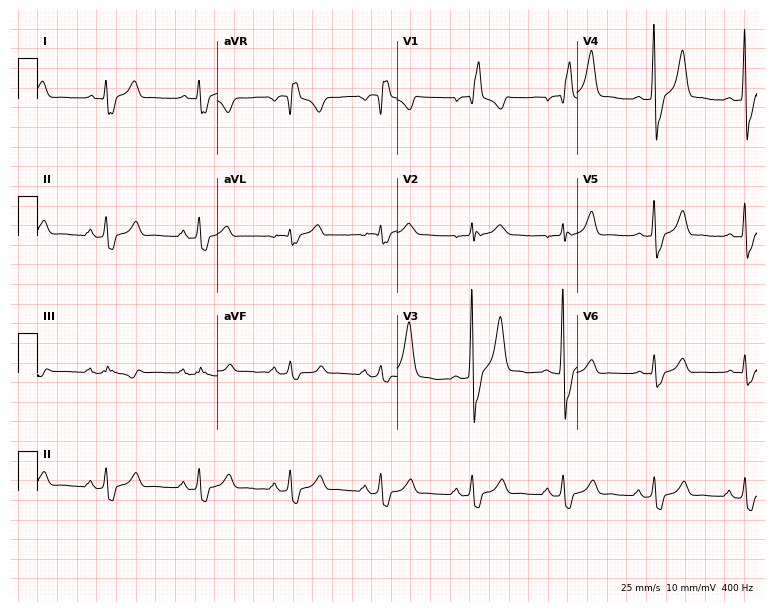
Electrocardiogram, a 59-year-old man. Interpretation includes right bundle branch block.